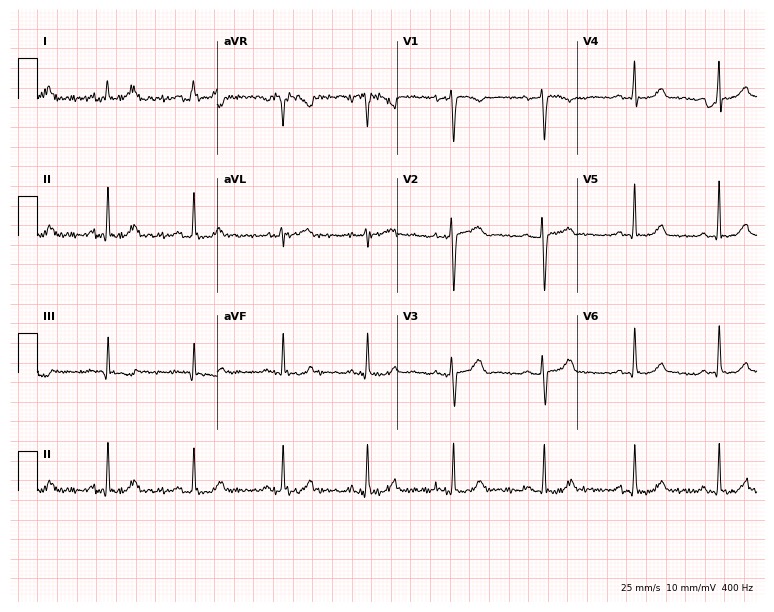
12-lead ECG (7.3-second recording at 400 Hz) from a female, 43 years old. Screened for six findings — first-degree AV block, right bundle branch block (RBBB), left bundle branch block (LBBB), sinus bradycardia, atrial fibrillation (AF), sinus tachycardia — none is recorded.